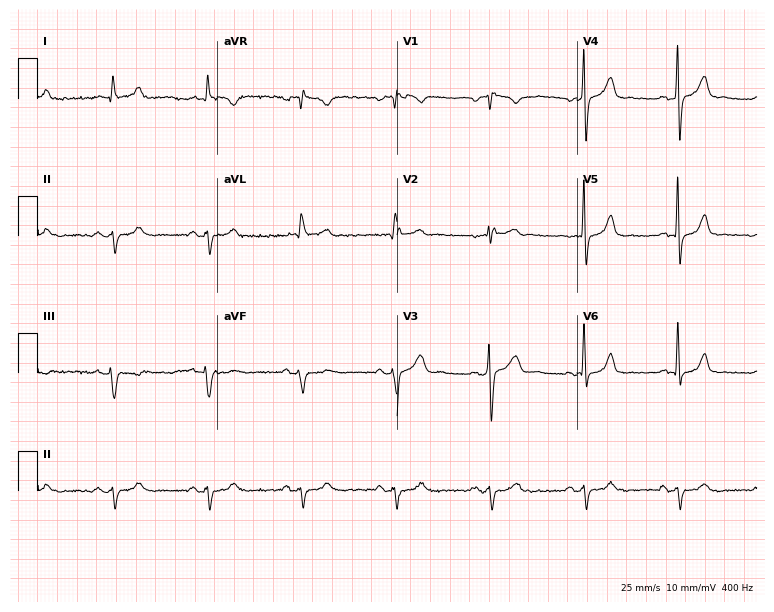
Electrocardiogram, a 64-year-old male patient. Of the six screened findings (first-degree AV block, right bundle branch block, left bundle branch block, sinus bradycardia, atrial fibrillation, sinus tachycardia), none is recorded. Other findings, if any, are not listed.